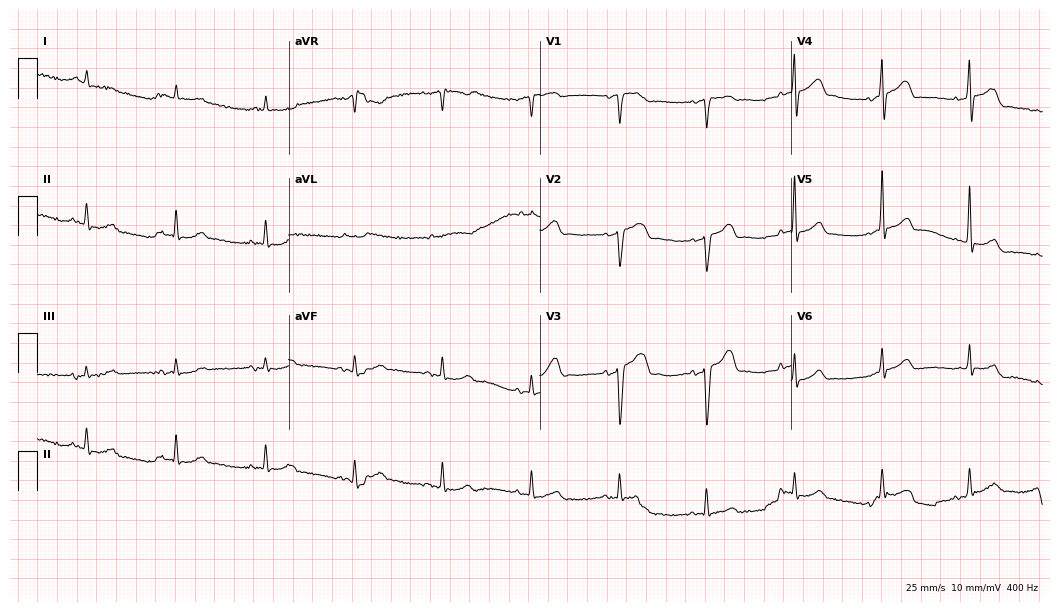
ECG (10.2-second recording at 400 Hz) — an 80-year-old male. Labelled as a normal ECG.